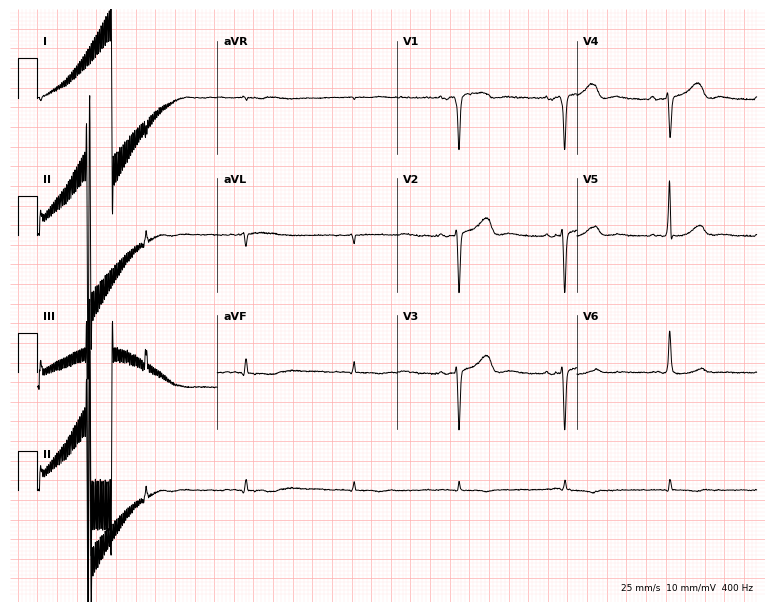
12-lead ECG from a woman, 79 years old. Screened for six findings — first-degree AV block, right bundle branch block, left bundle branch block, sinus bradycardia, atrial fibrillation, sinus tachycardia — none is recorded.